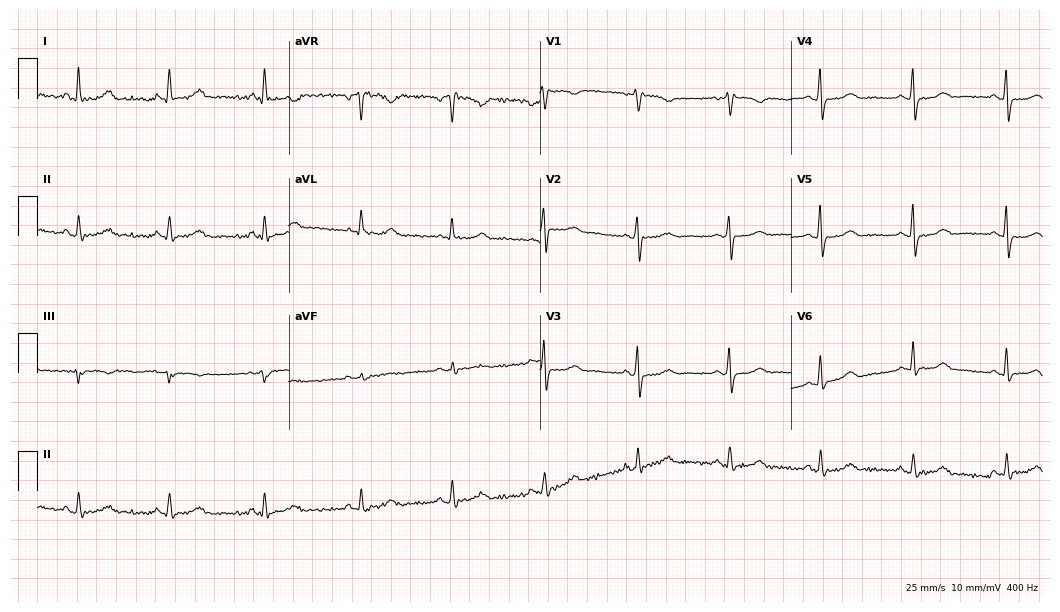
ECG — a 45-year-old female patient. Screened for six findings — first-degree AV block, right bundle branch block, left bundle branch block, sinus bradycardia, atrial fibrillation, sinus tachycardia — none is recorded. Only these six findings were labelled.